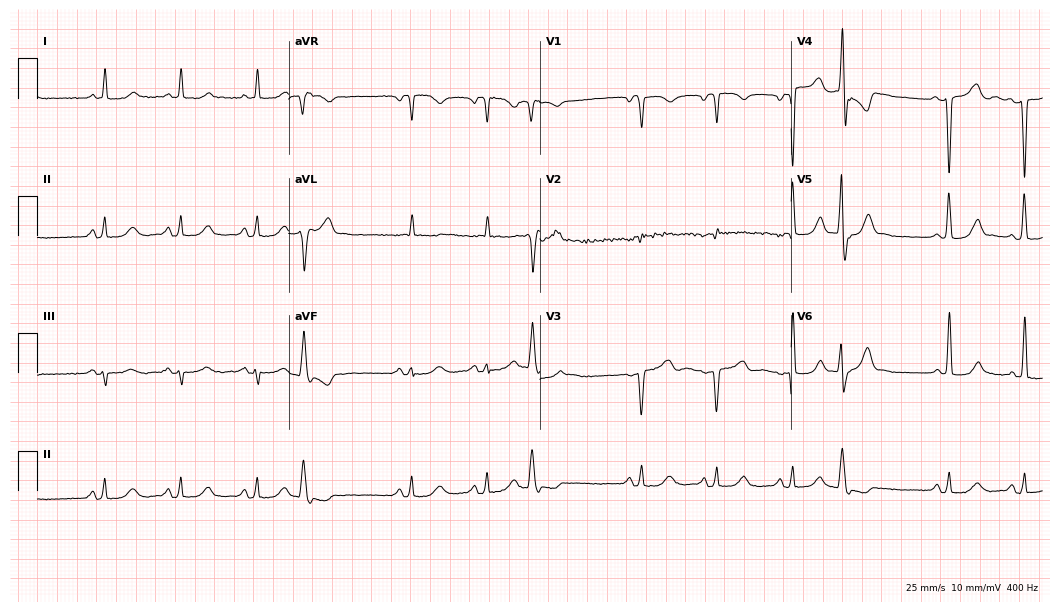
12-lead ECG (10.2-second recording at 400 Hz) from a 79-year-old male. Screened for six findings — first-degree AV block, right bundle branch block, left bundle branch block, sinus bradycardia, atrial fibrillation, sinus tachycardia — none is recorded. Only these six findings were labelled.